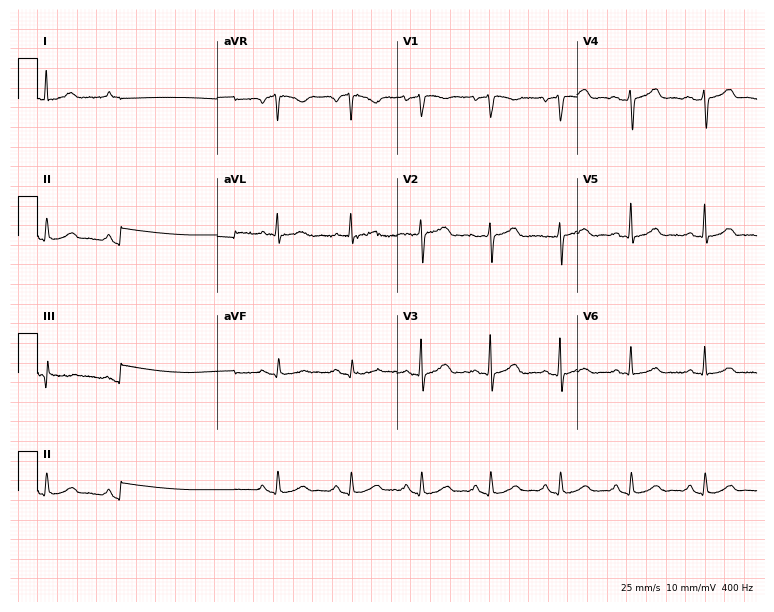
Standard 12-lead ECG recorded from a 46-year-old female patient. Read as a normal ECG.